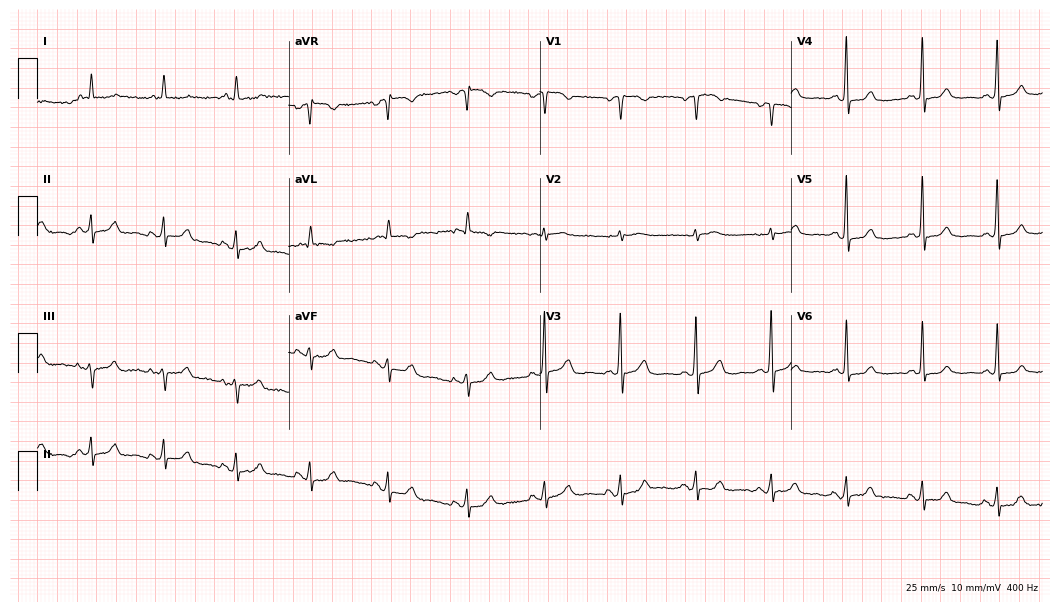
12-lead ECG from an 82-year-old female patient (10.2-second recording at 400 Hz). No first-degree AV block, right bundle branch block, left bundle branch block, sinus bradycardia, atrial fibrillation or sinus tachycardia recorded for this tracing. Other findings, if any, are not listed.